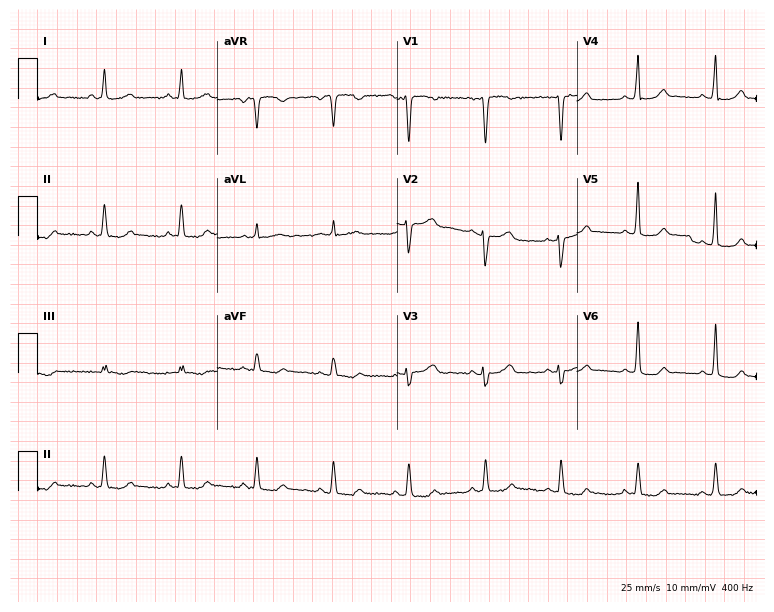
Electrocardiogram (7.3-second recording at 400 Hz), a 50-year-old female patient. Of the six screened findings (first-degree AV block, right bundle branch block, left bundle branch block, sinus bradycardia, atrial fibrillation, sinus tachycardia), none is recorded.